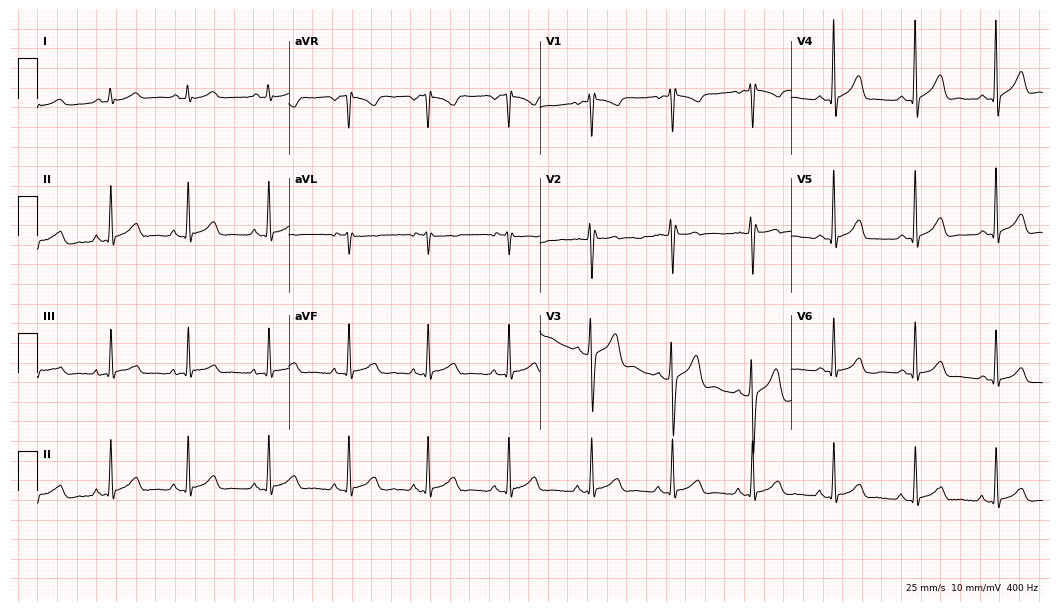
Standard 12-lead ECG recorded from a 25-year-old male patient (10.2-second recording at 400 Hz). Read as a normal ECG.